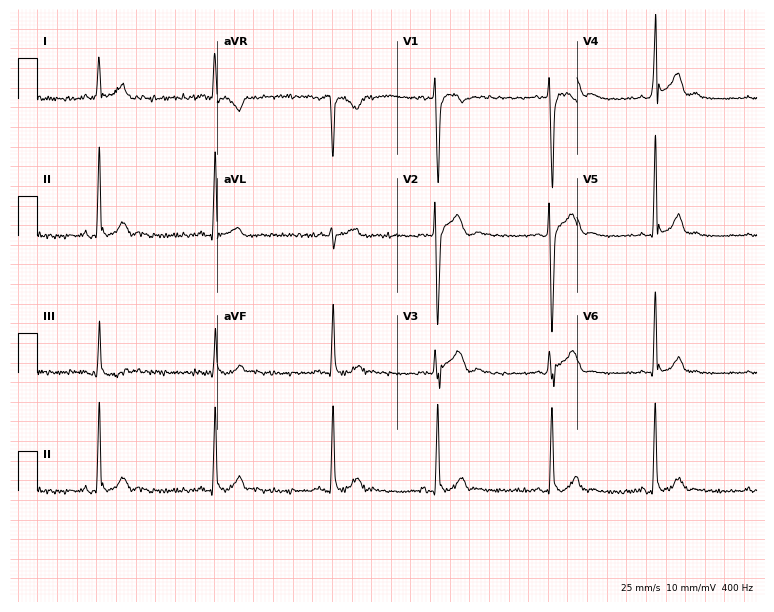
Electrocardiogram, a man, 21 years old. Overall reading on record: normal ECG.